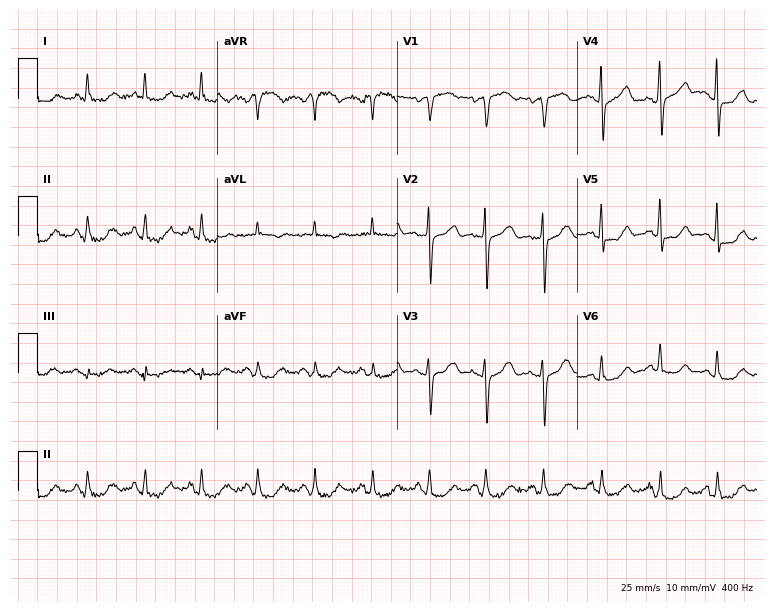
12-lead ECG from a 69-year-old female patient (7.3-second recording at 400 Hz). Shows sinus tachycardia (a sinus rate of 100 beats per minute or more).